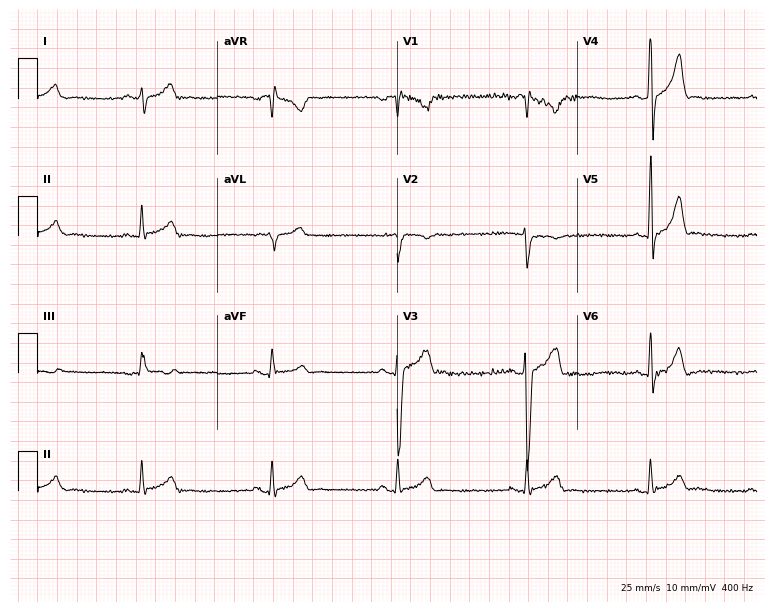
Resting 12-lead electrocardiogram (7.3-second recording at 400 Hz). Patient: a 17-year-old male. Read as a normal ECG.